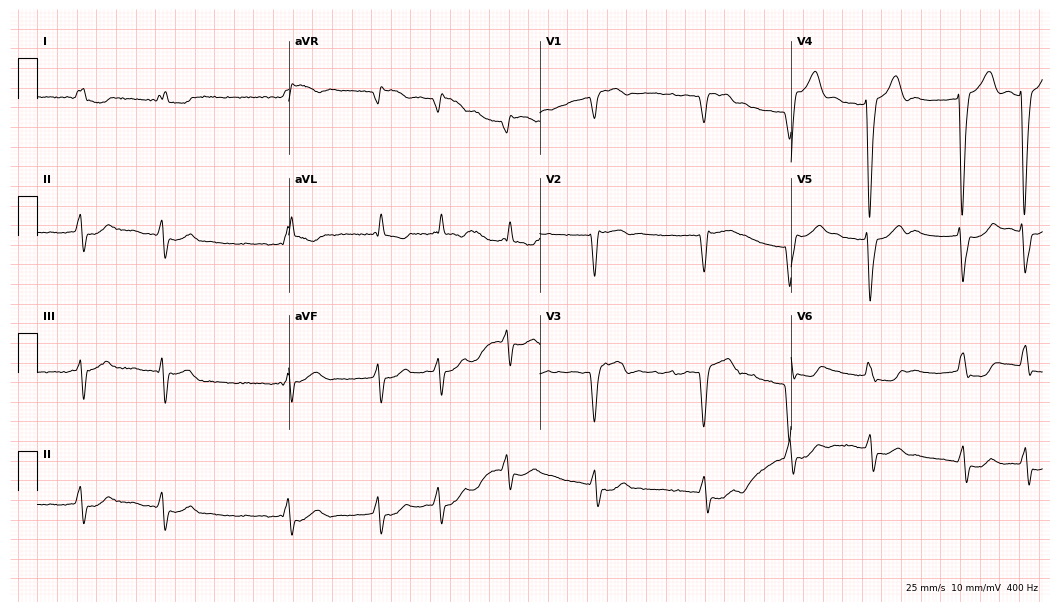
12-lead ECG from a woman, 83 years old (10.2-second recording at 400 Hz). No first-degree AV block, right bundle branch block, left bundle branch block, sinus bradycardia, atrial fibrillation or sinus tachycardia recorded for this tracing. Only these six findings were labelled.